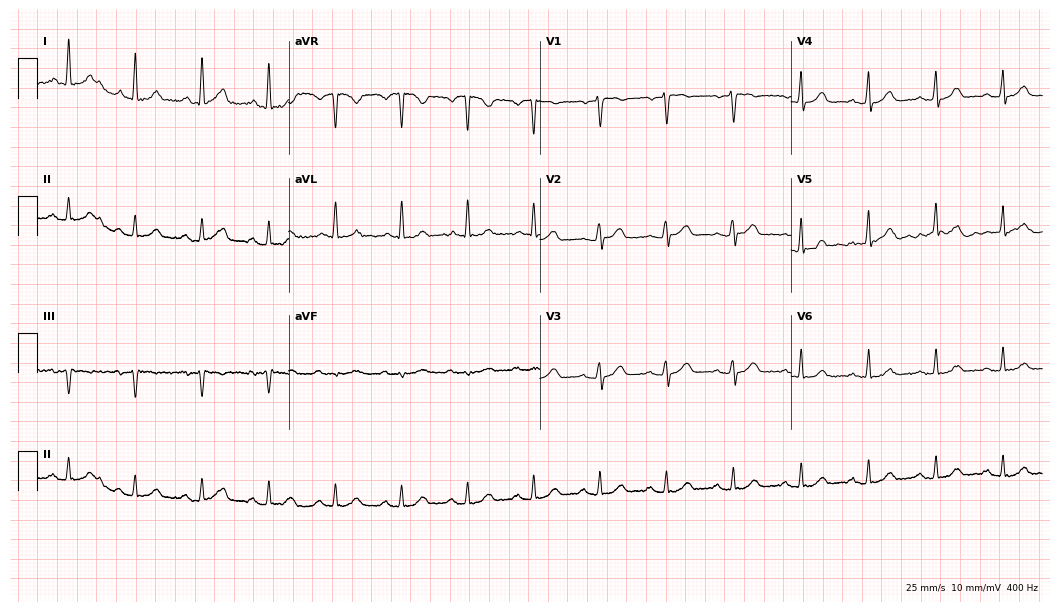
12-lead ECG from a 66-year-old female patient (10.2-second recording at 400 Hz). Recorded interpretation: within normal limits.